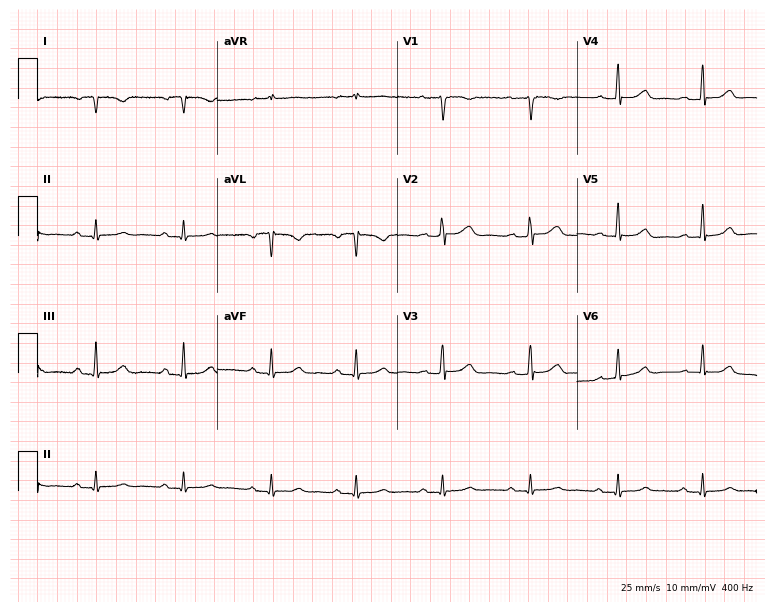
12-lead ECG from a 32-year-old female. No first-degree AV block, right bundle branch block, left bundle branch block, sinus bradycardia, atrial fibrillation or sinus tachycardia recorded for this tracing.